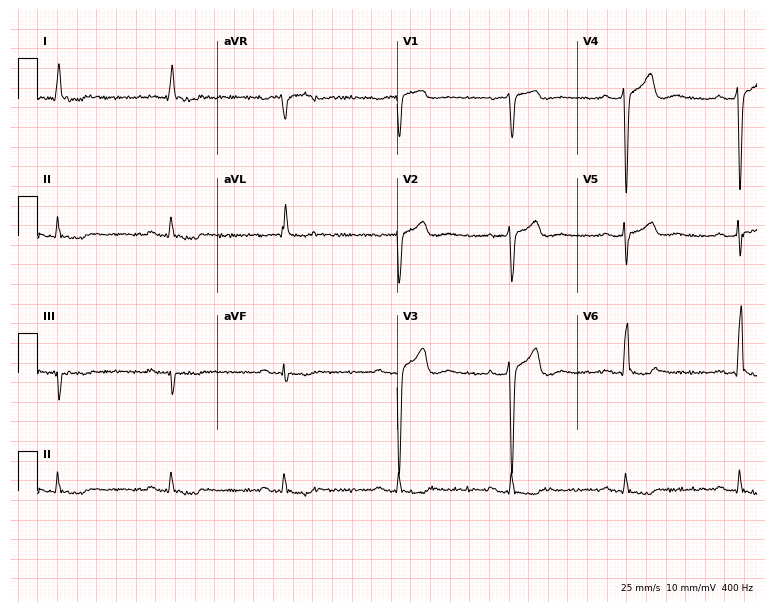
12-lead ECG from a male, 77 years old (7.3-second recording at 400 Hz). No first-degree AV block, right bundle branch block, left bundle branch block, sinus bradycardia, atrial fibrillation or sinus tachycardia recorded for this tracing.